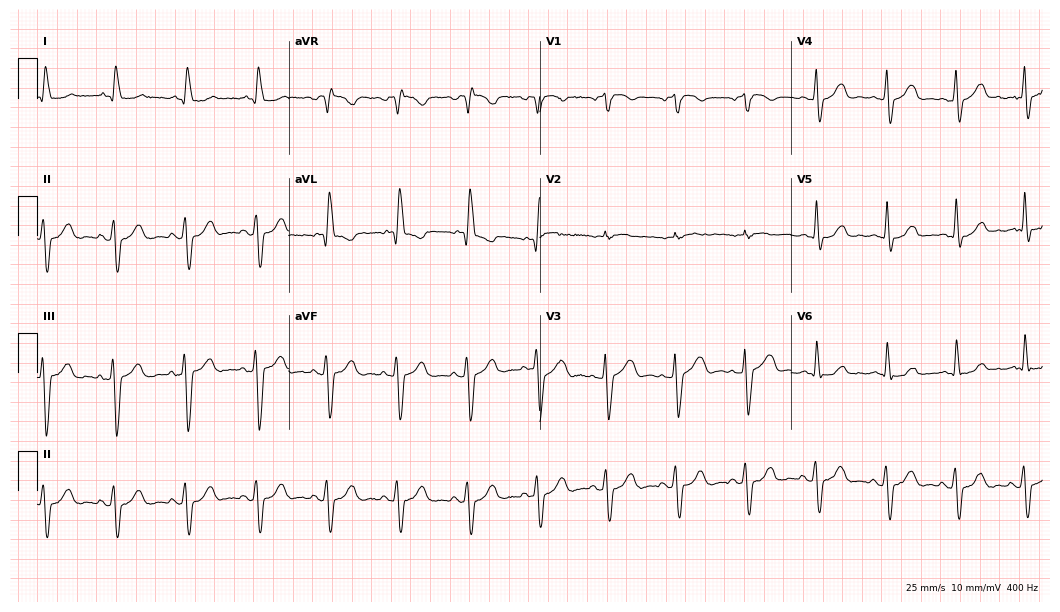
Electrocardiogram (10.2-second recording at 400 Hz), a 59-year-old woman. Of the six screened findings (first-degree AV block, right bundle branch block (RBBB), left bundle branch block (LBBB), sinus bradycardia, atrial fibrillation (AF), sinus tachycardia), none is recorded. Findings outside these six are not listed.